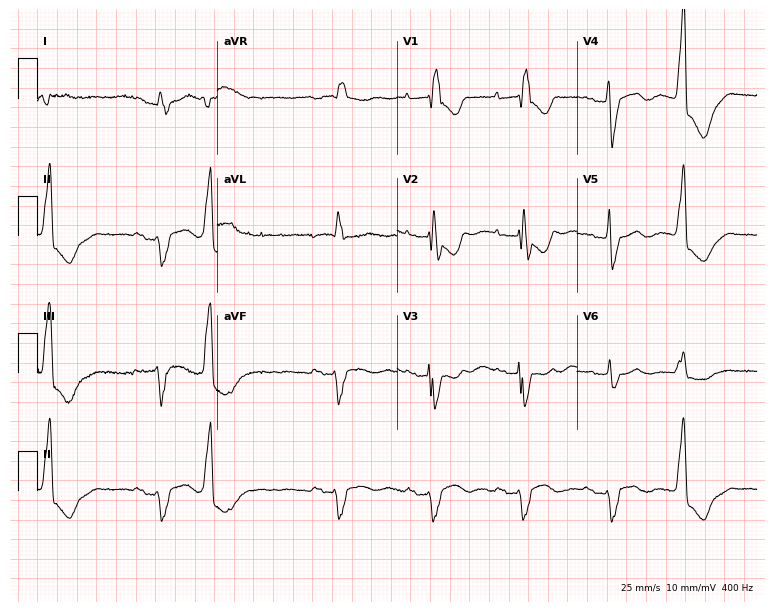
Standard 12-lead ECG recorded from a woman, 65 years old. The tracing shows first-degree AV block, right bundle branch block.